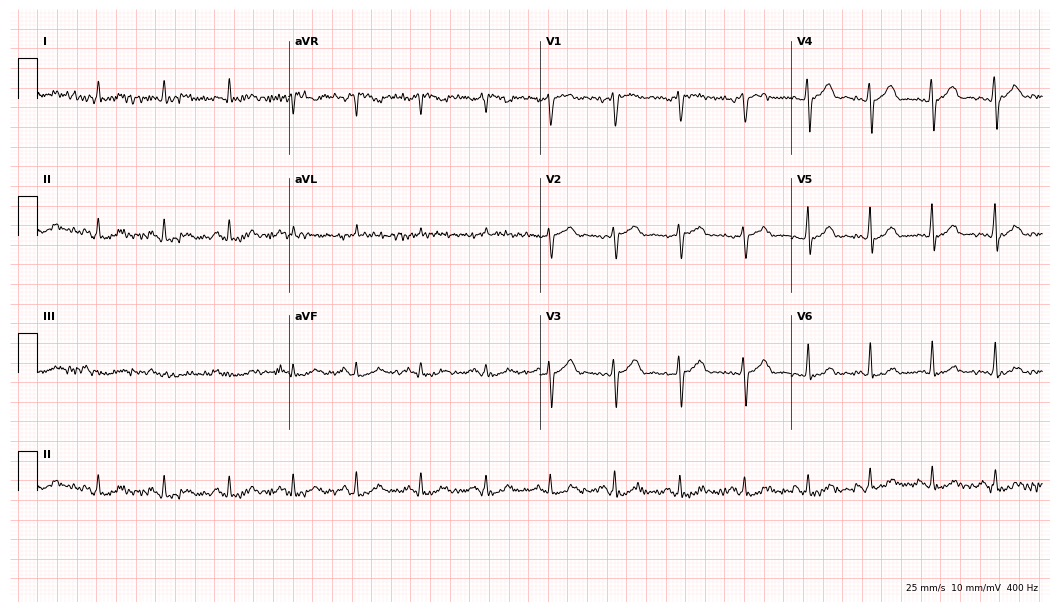
Resting 12-lead electrocardiogram (10.2-second recording at 400 Hz). Patient: a 69-year-old male. None of these six findings is recorded: first-degree AV block, right bundle branch block (RBBB), left bundle branch block (LBBB), sinus bradycardia, atrial fibrillation (AF), sinus tachycardia. Other findings, if any, are not listed.